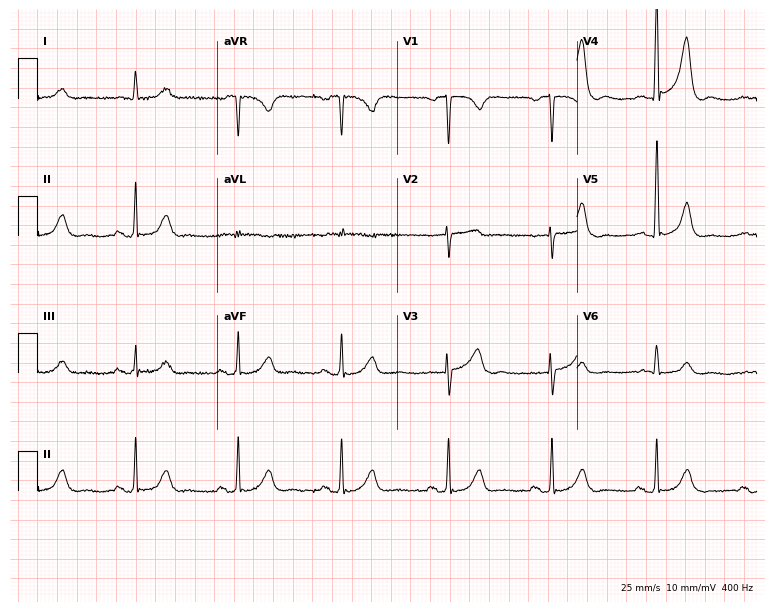
ECG — a male, 72 years old. Screened for six findings — first-degree AV block, right bundle branch block (RBBB), left bundle branch block (LBBB), sinus bradycardia, atrial fibrillation (AF), sinus tachycardia — none is recorded.